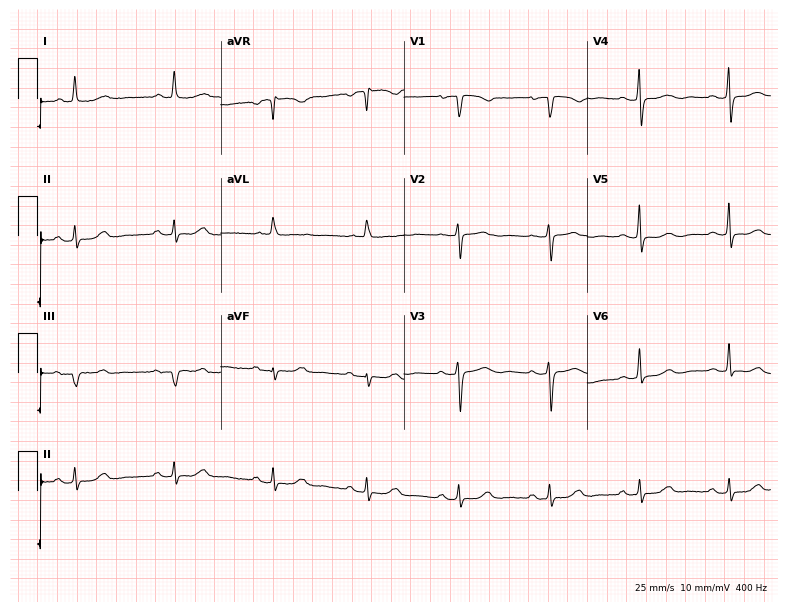
12-lead ECG from a 76-year-old female patient (7.5-second recording at 400 Hz). Recorded interpretation: within normal limits.